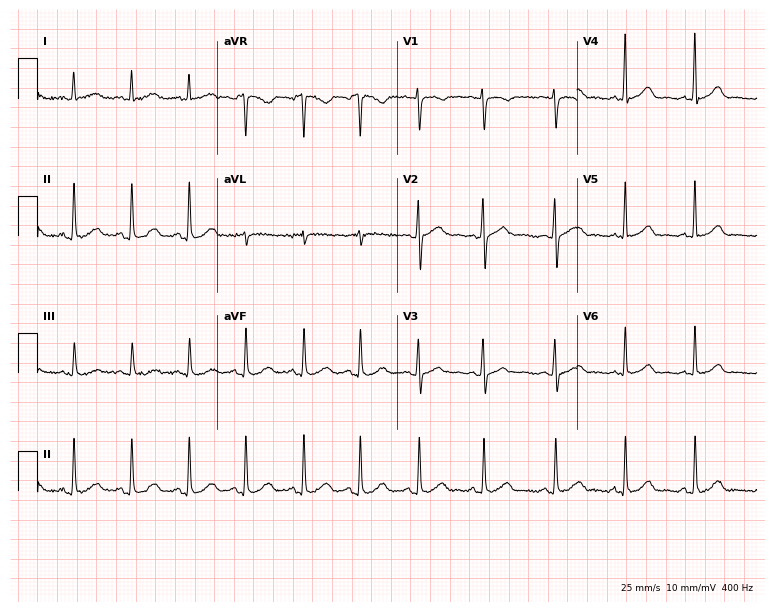
Resting 12-lead electrocardiogram. Patient: a 41-year-old female. Read as a normal ECG.